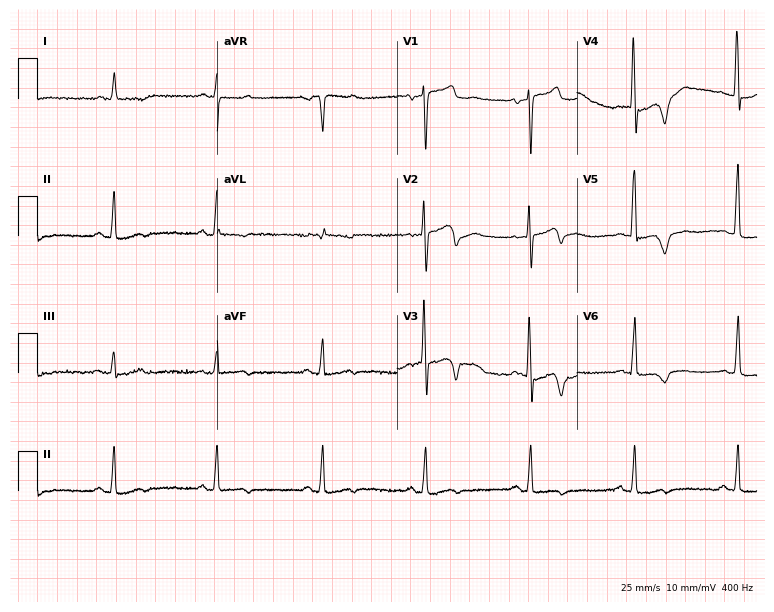
12-lead ECG from a male patient, 78 years old. No first-degree AV block, right bundle branch block, left bundle branch block, sinus bradycardia, atrial fibrillation or sinus tachycardia recorded for this tracing.